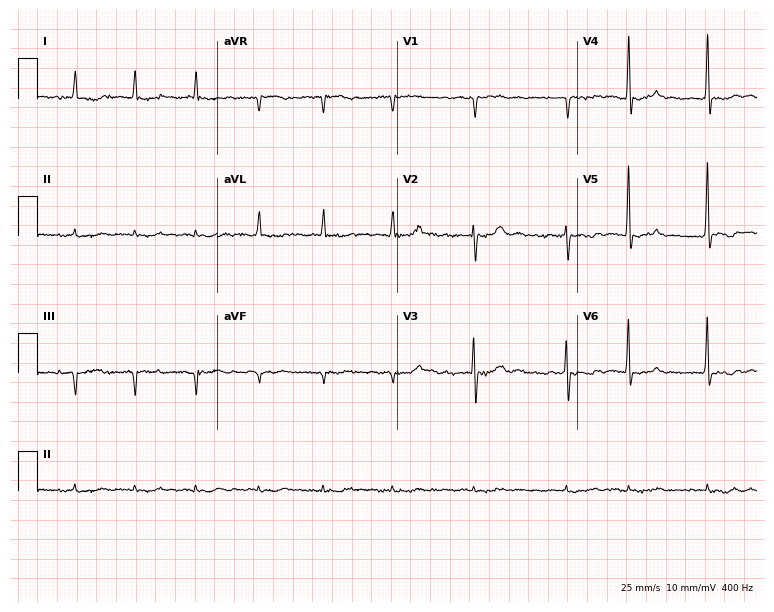
Standard 12-lead ECG recorded from an 82-year-old man (7.3-second recording at 400 Hz). The tracing shows atrial fibrillation.